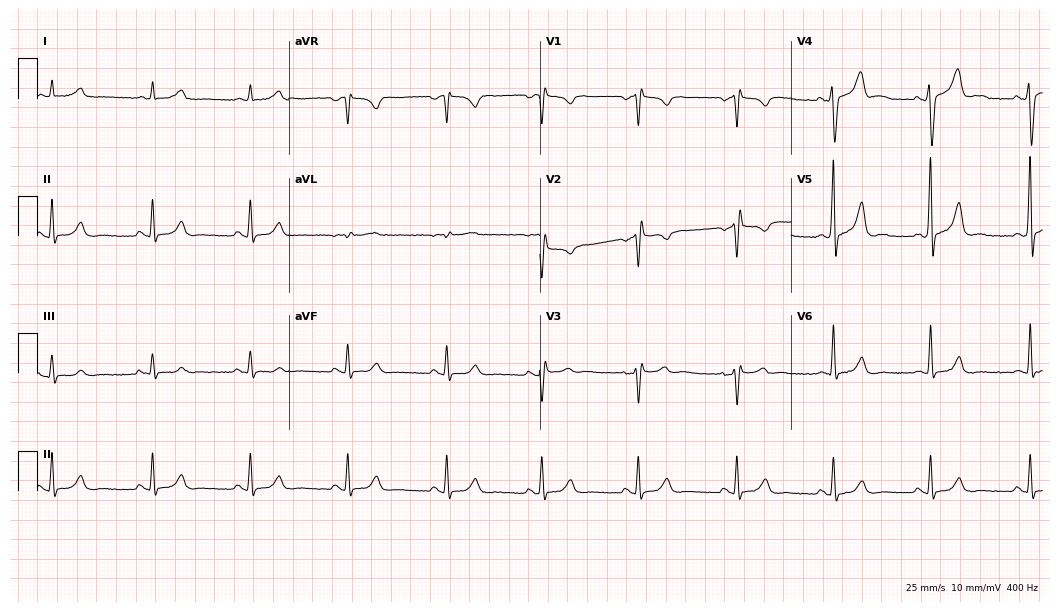
12-lead ECG from a man, 47 years old. No first-degree AV block, right bundle branch block (RBBB), left bundle branch block (LBBB), sinus bradycardia, atrial fibrillation (AF) or sinus tachycardia recorded for this tracing.